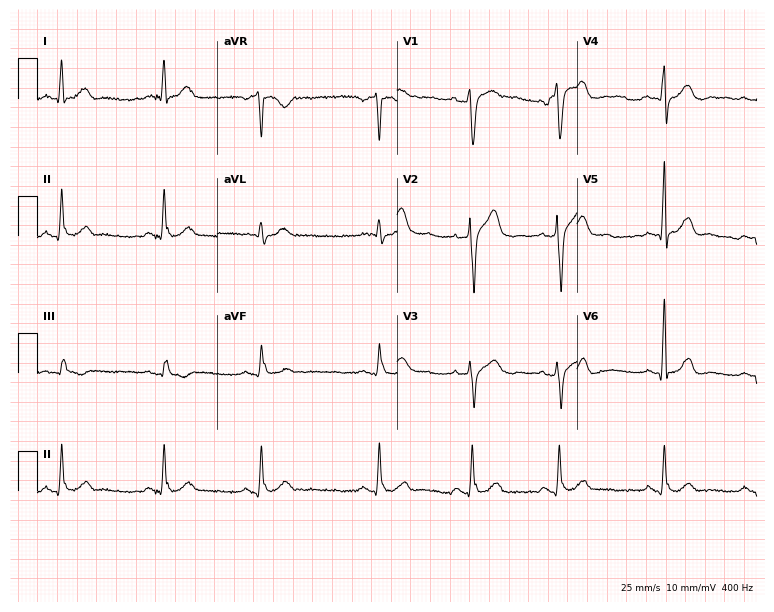
Electrocardiogram (7.3-second recording at 400 Hz), a 42-year-old male patient. Of the six screened findings (first-degree AV block, right bundle branch block, left bundle branch block, sinus bradycardia, atrial fibrillation, sinus tachycardia), none is recorded. Only these six findings were labelled.